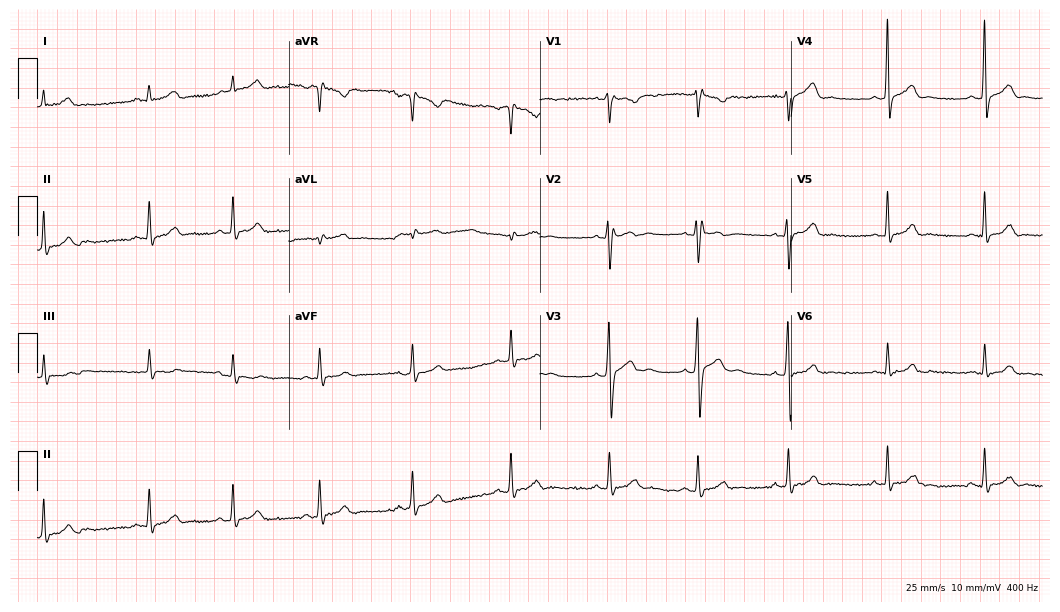
Resting 12-lead electrocardiogram. Patient: a 20-year-old male. Read as a normal ECG.